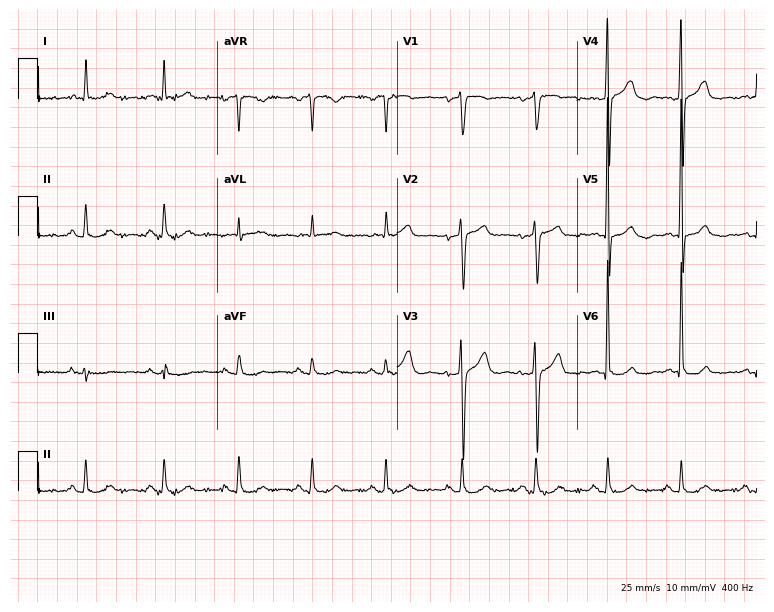
Resting 12-lead electrocardiogram. Patient: a man, 73 years old. None of these six findings is recorded: first-degree AV block, right bundle branch block, left bundle branch block, sinus bradycardia, atrial fibrillation, sinus tachycardia.